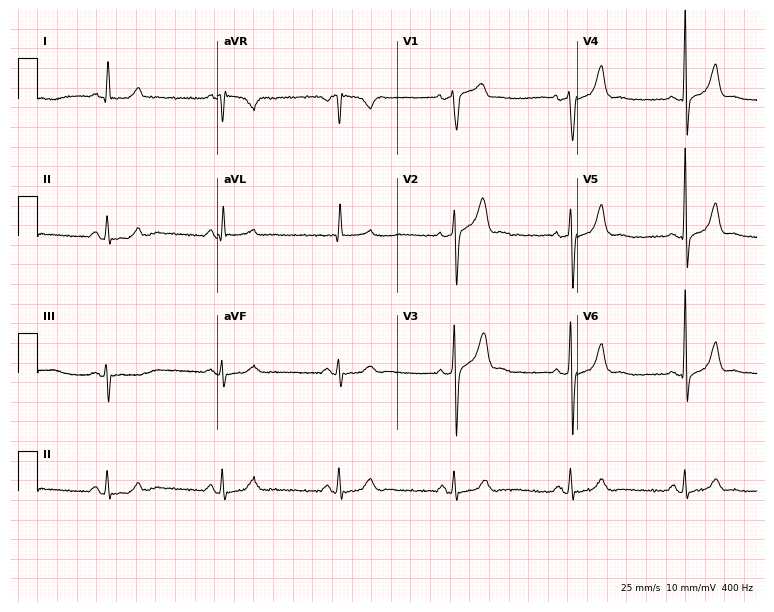
12-lead ECG from a 67-year-old male patient. Labelled as a normal ECG.